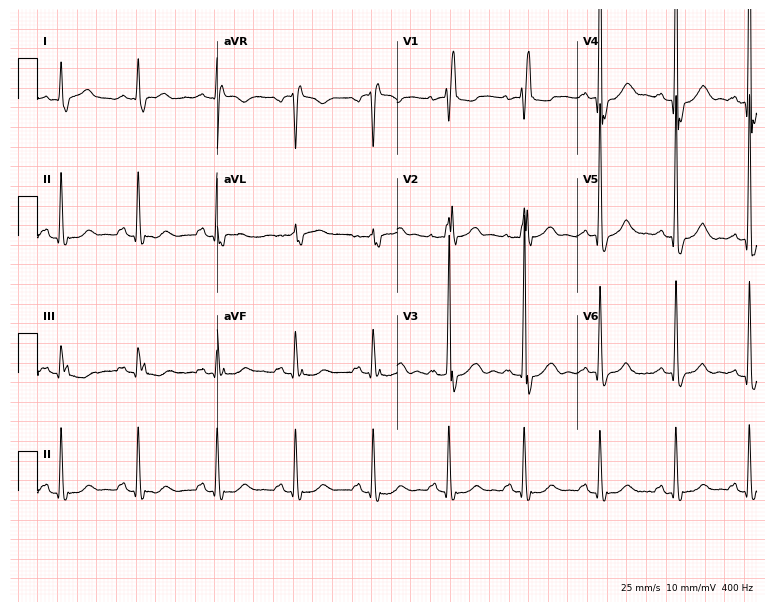
Resting 12-lead electrocardiogram (7.3-second recording at 400 Hz). Patient: a male, 57 years old. The tracing shows right bundle branch block.